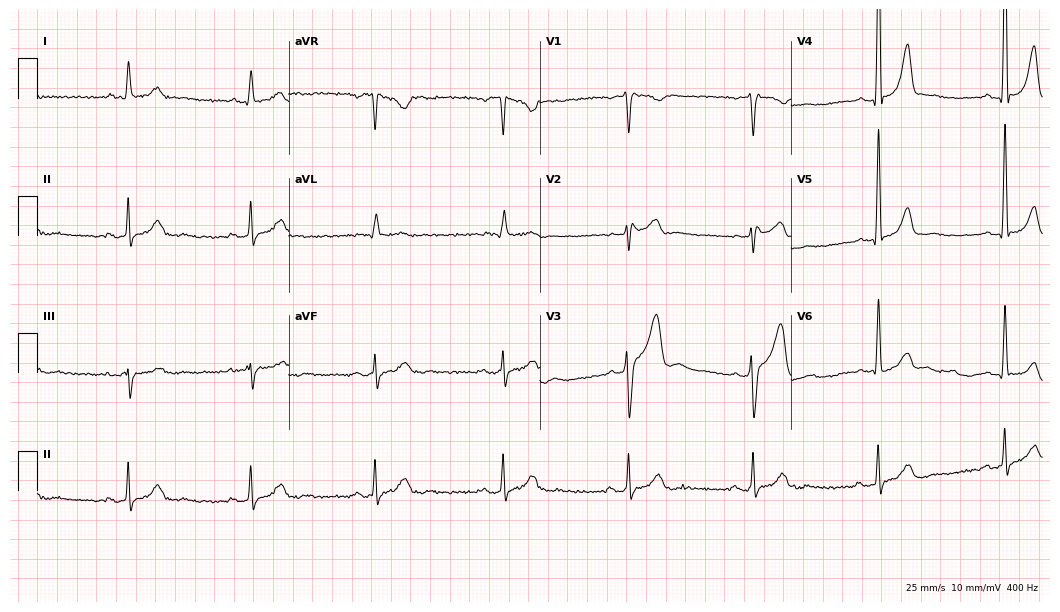
12-lead ECG from a 64-year-old male. Shows sinus bradycardia (a sinus rate of 50 beats per minute or less).